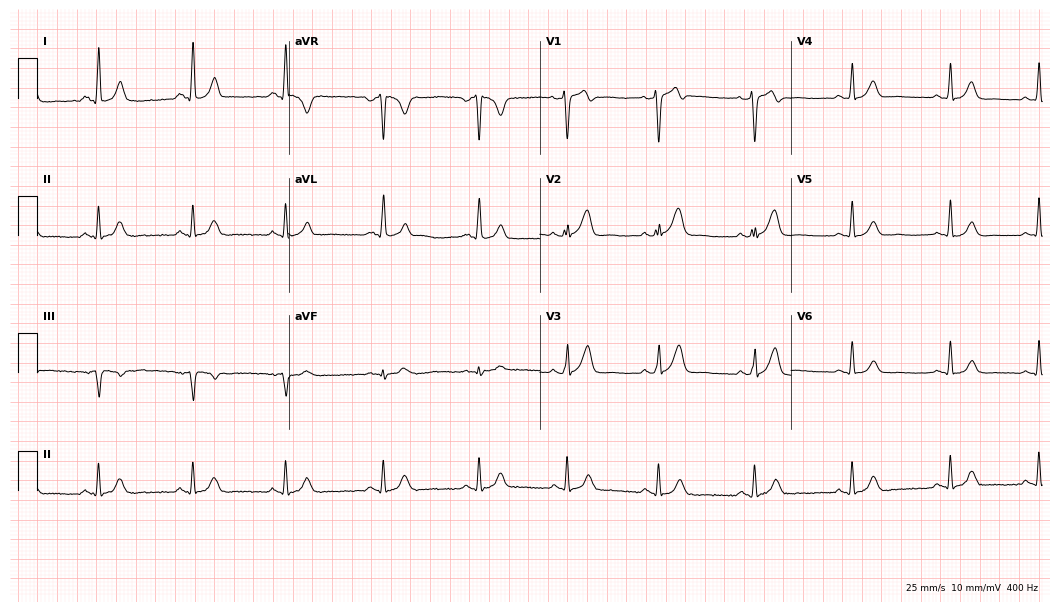
Standard 12-lead ECG recorded from a 45-year-old woman (10.2-second recording at 400 Hz). Read as a normal ECG.